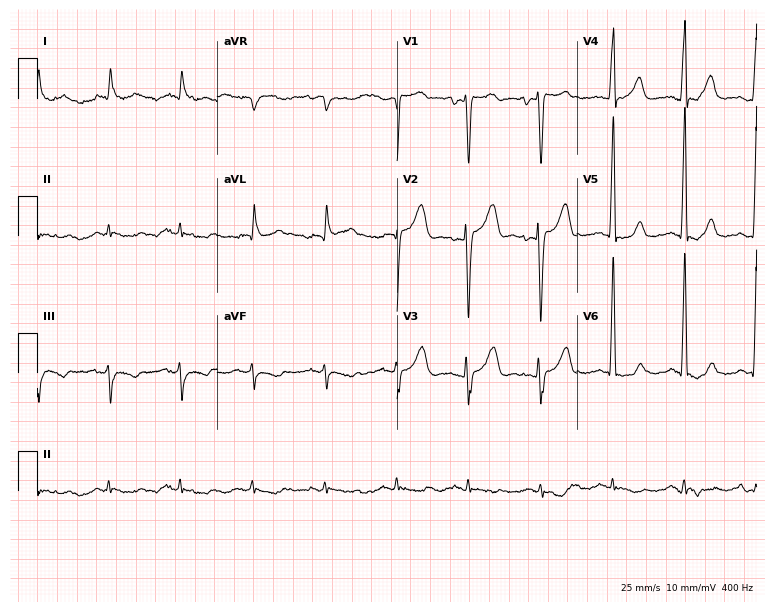
12-lead ECG from a 73-year-old man (7.3-second recording at 400 Hz). No first-degree AV block, right bundle branch block, left bundle branch block, sinus bradycardia, atrial fibrillation or sinus tachycardia recorded for this tracing.